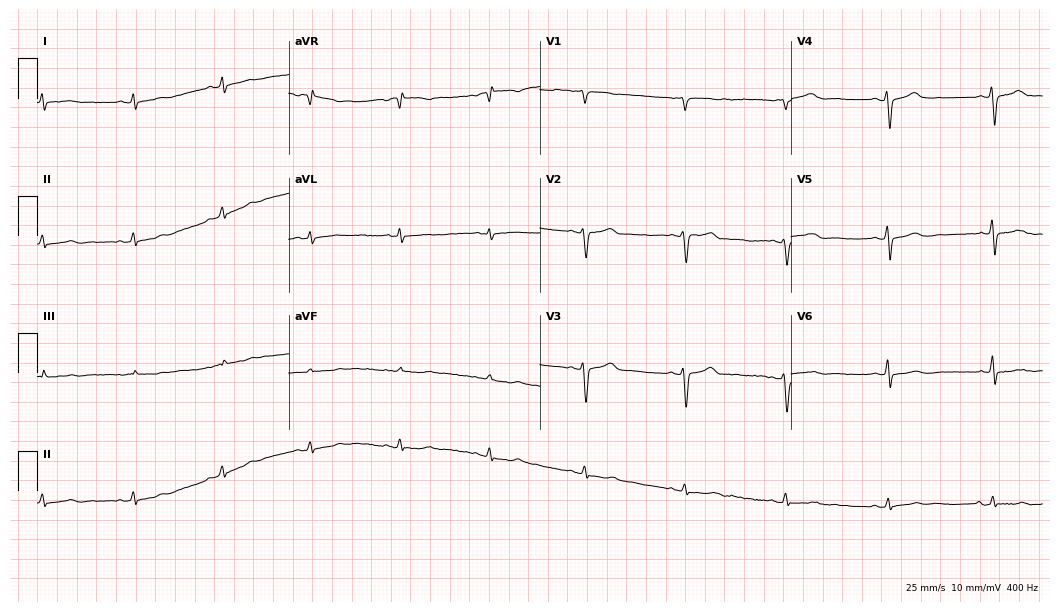
Electrocardiogram, a 42-year-old female. Of the six screened findings (first-degree AV block, right bundle branch block, left bundle branch block, sinus bradycardia, atrial fibrillation, sinus tachycardia), none is recorded. Other findings, if any, are not listed.